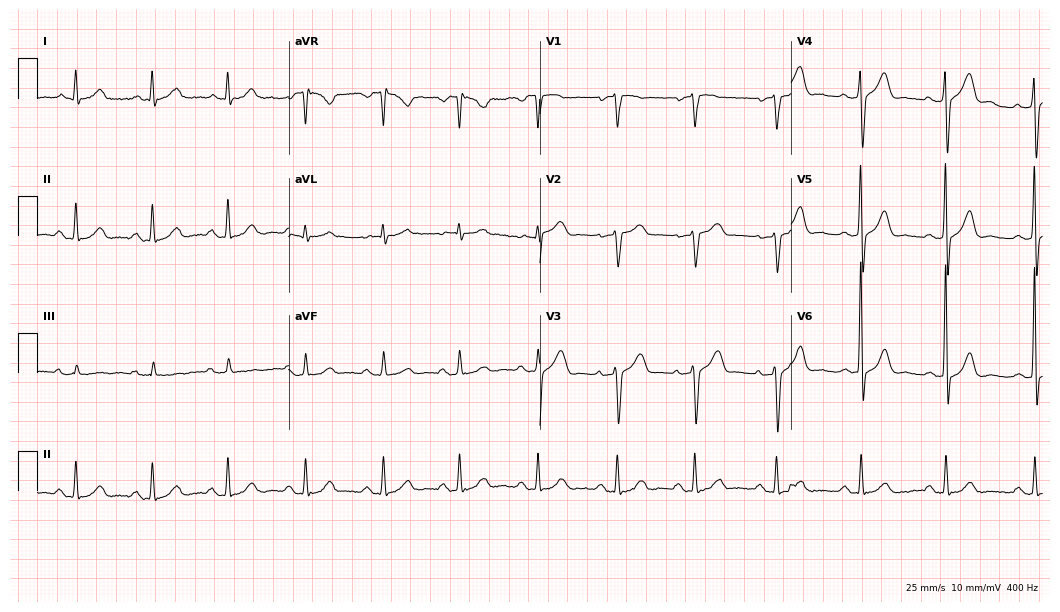
12-lead ECG (10.2-second recording at 400 Hz) from a male, 57 years old. Labelled as a normal ECG.